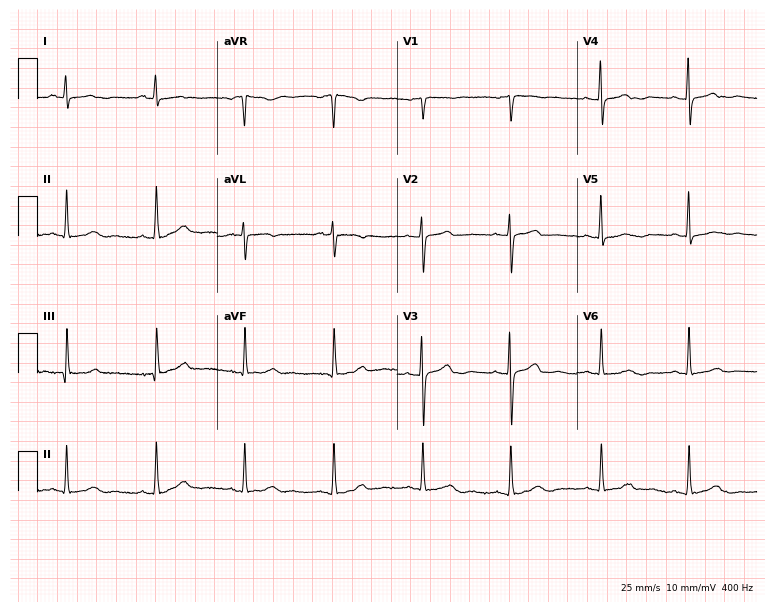
12-lead ECG from a female patient, 64 years old. Labelled as a normal ECG.